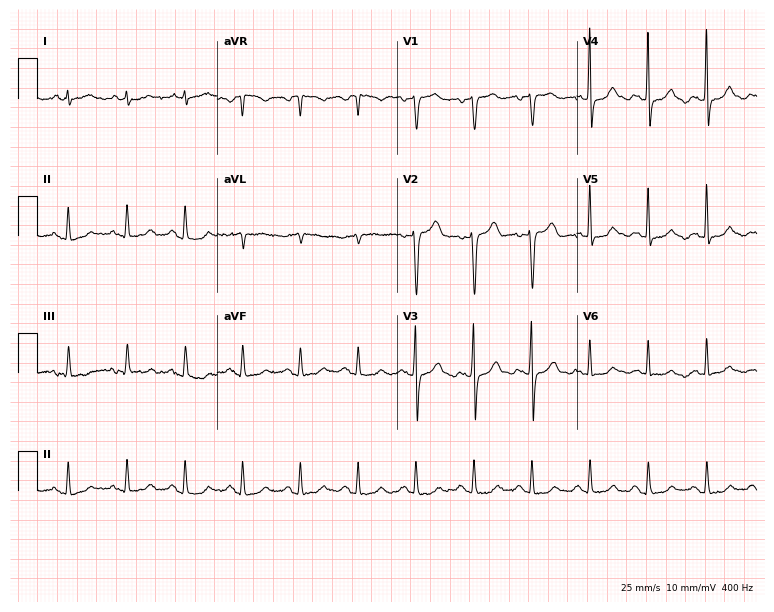
Standard 12-lead ECG recorded from an 82-year-old female patient (7.3-second recording at 400 Hz). The tracing shows sinus tachycardia (a sinus rate of 100 beats per minute or more).